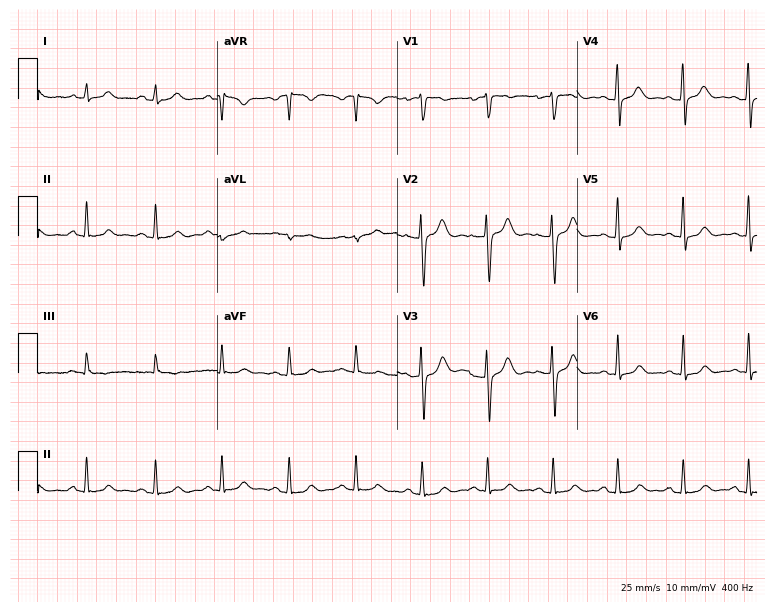
Electrocardiogram, a 32-year-old woman. Overall reading on record: normal ECG.